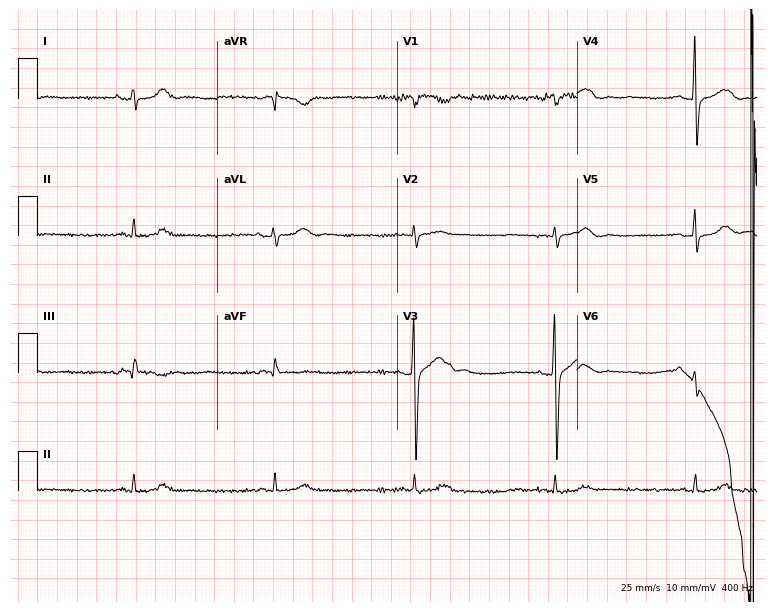
Resting 12-lead electrocardiogram (7.3-second recording at 400 Hz). Patient: a 73-year-old male. The tracing shows sinus bradycardia (a sinus rate of 50 beats per minute or less).